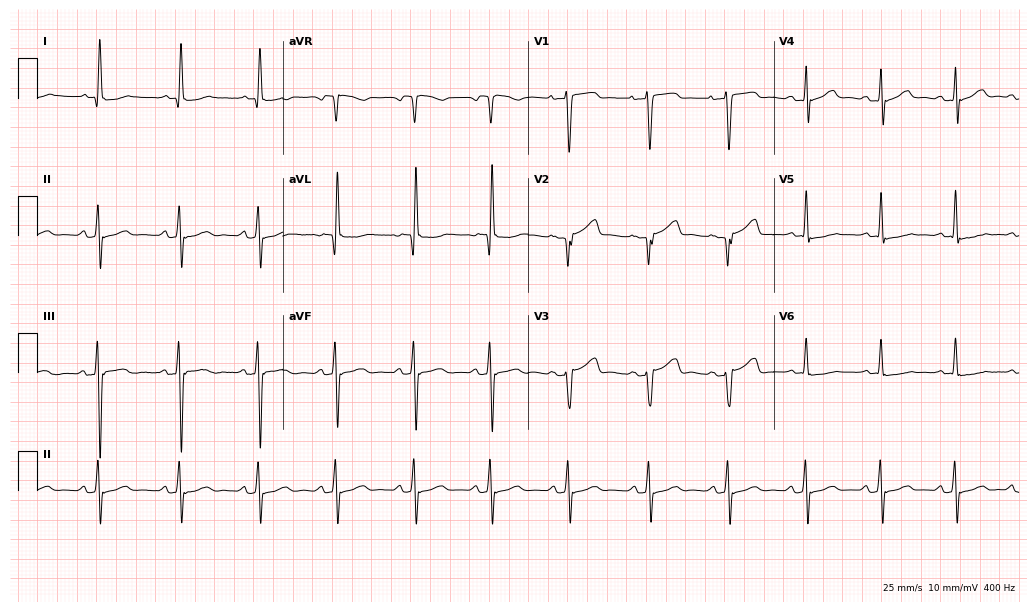
12-lead ECG from a female patient, 58 years old (10-second recording at 400 Hz). No first-degree AV block, right bundle branch block, left bundle branch block, sinus bradycardia, atrial fibrillation or sinus tachycardia recorded for this tracing.